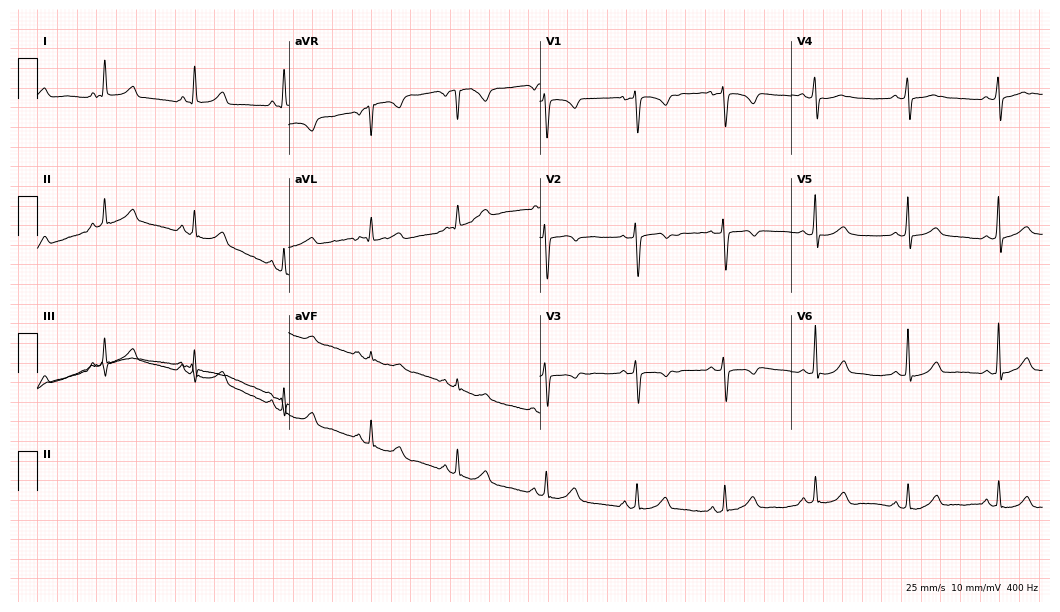
Resting 12-lead electrocardiogram. Patient: a female, 43 years old. Read as a normal ECG.